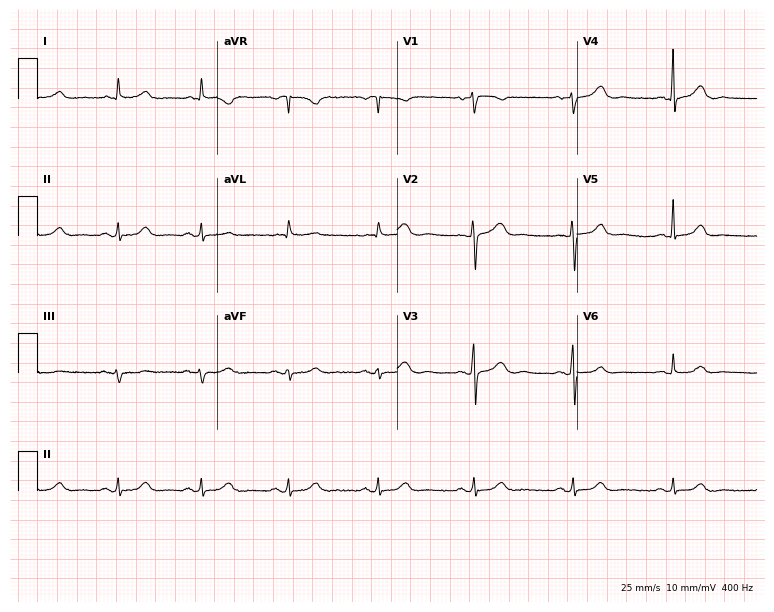
ECG (7.3-second recording at 400 Hz) — a 71-year-old female. Labelled as a normal ECG.